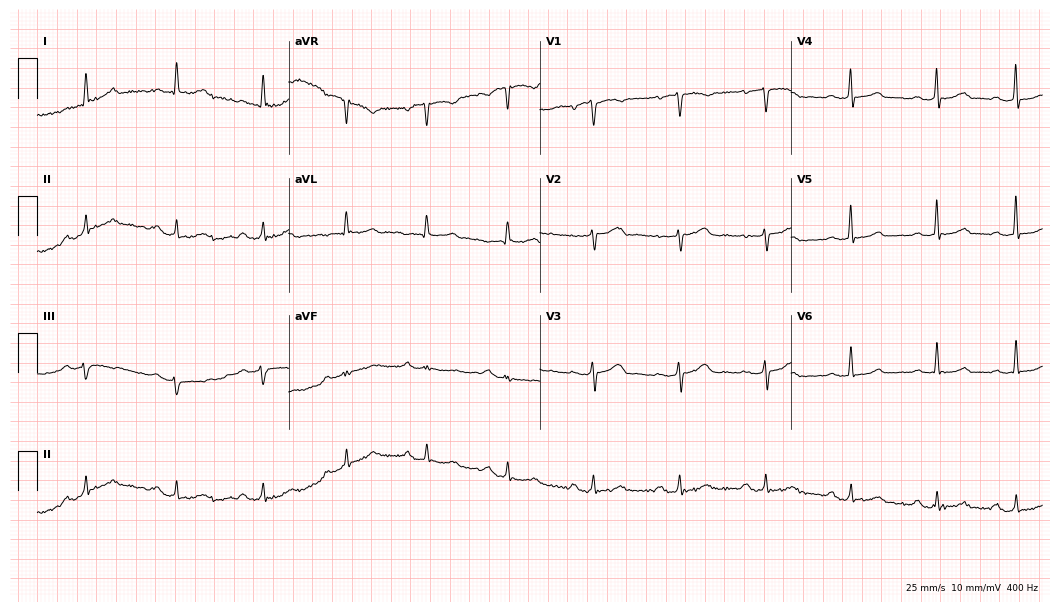
Electrocardiogram, a female patient, 53 years old. Overall reading on record: normal ECG.